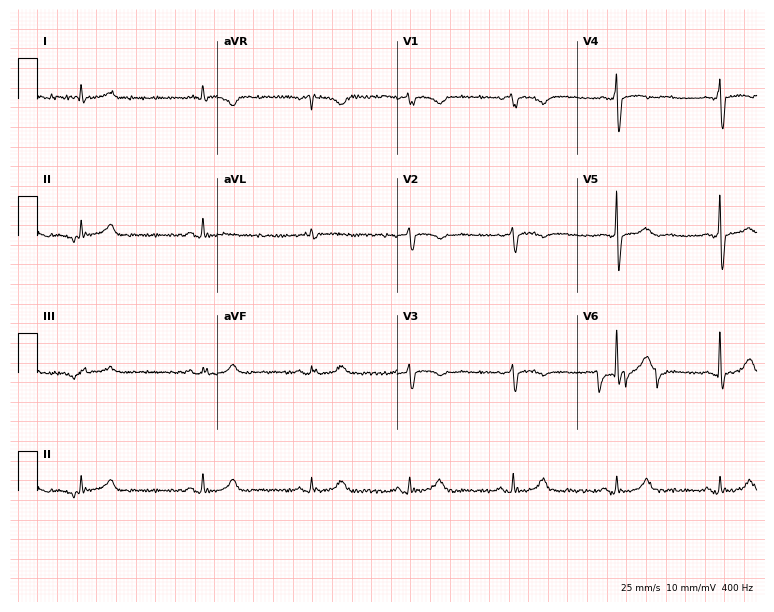
Electrocardiogram, a 75-year-old man. Of the six screened findings (first-degree AV block, right bundle branch block (RBBB), left bundle branch block (LBBB), sinus bradycardia, atrial fibrillation (AF), sinus tachycardia), none is recorded. Only these six findings were labelled.